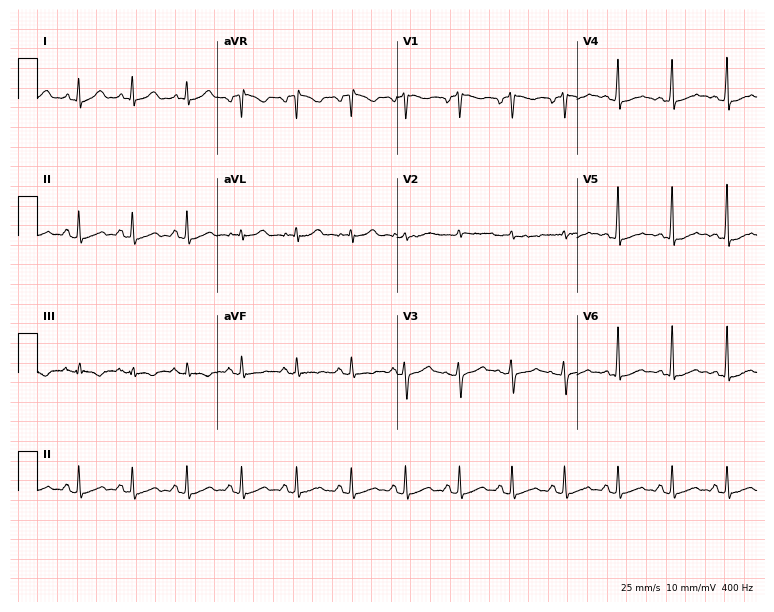
12-lead ECG (7.3-second recording at 400 Hz) from a 35-year-old man. Screened for six findings — first-degree AV block, right bundle branch block, left bundle branch block, sinus bradycardia, atrial fibrillation, sinus tachycardia — none is recorded.